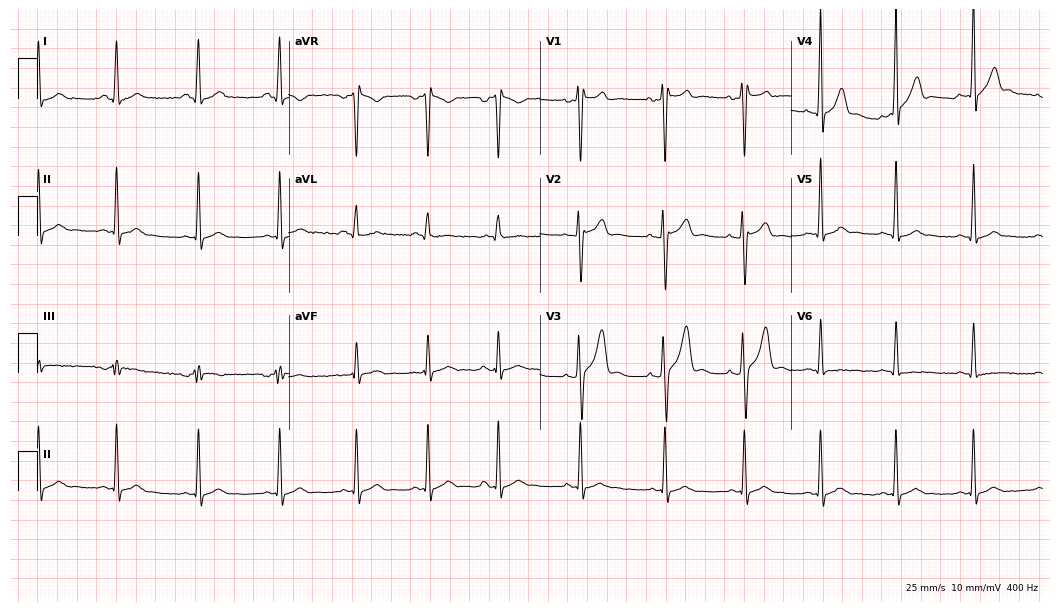
ECG (10.2-second recording at 400 Hz) — an 18-year-old male. Labelled as a normal ECG.